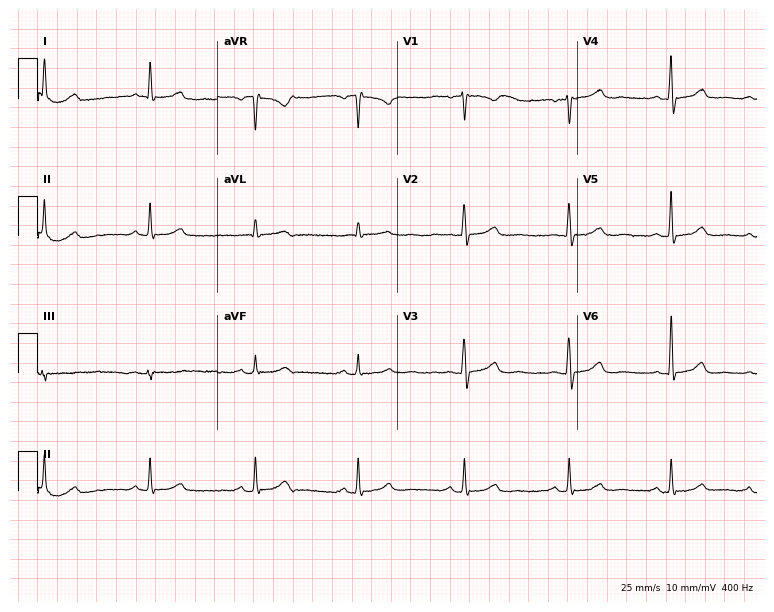
12-lead ECG from a 60-year-old female patient (7.3-second recording at 400 Hz). Recorded interpretation: within normal limits.